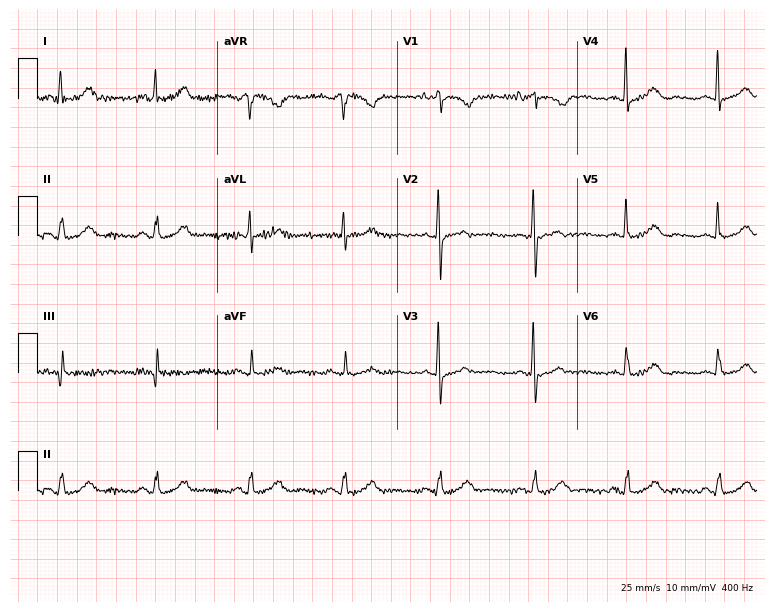
Standard 12-lead ECG recorded from a 57-year-old female patient (7.3-second recording at 400 Hz). Read as a normal ECG.